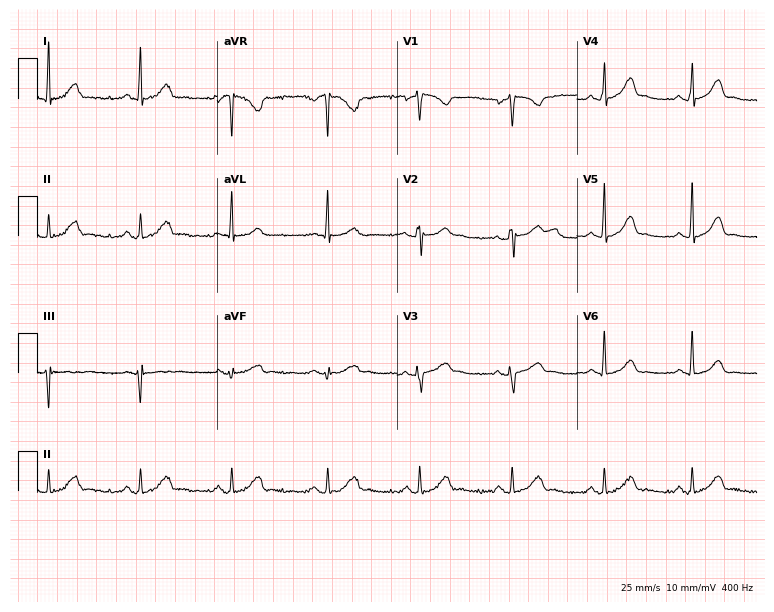
12-lead ECG (7.3-second recording at 400 Hz) from a female patient, 35 years old. Screened for six findings — first-degree AV block, right bundle branch block, left bundle branch block, sinus bradycardia, atrial fibrillation, sinus tachycardia — none is recorded. Other findings, if any, are not listed.